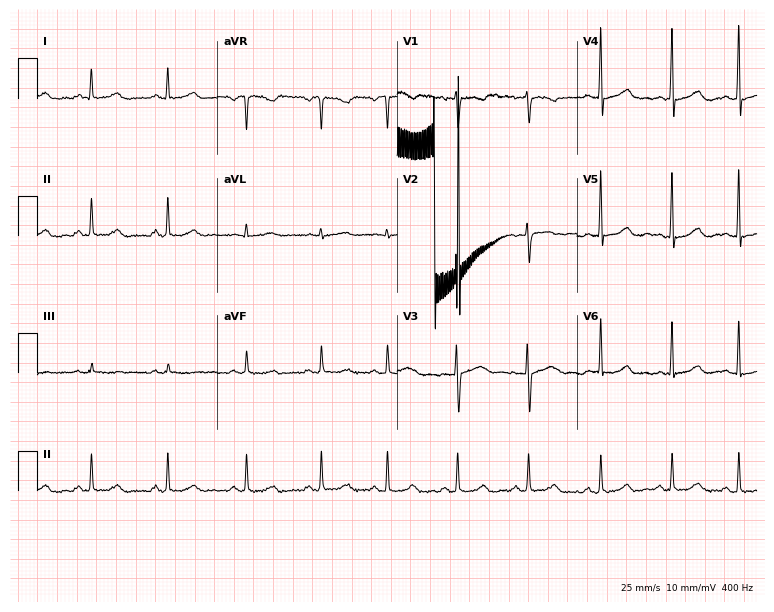
Standard 12-lead ECG recorded from a 35-year-old female (7.3-second recording at 400 Hz). Read as a normal ECG.